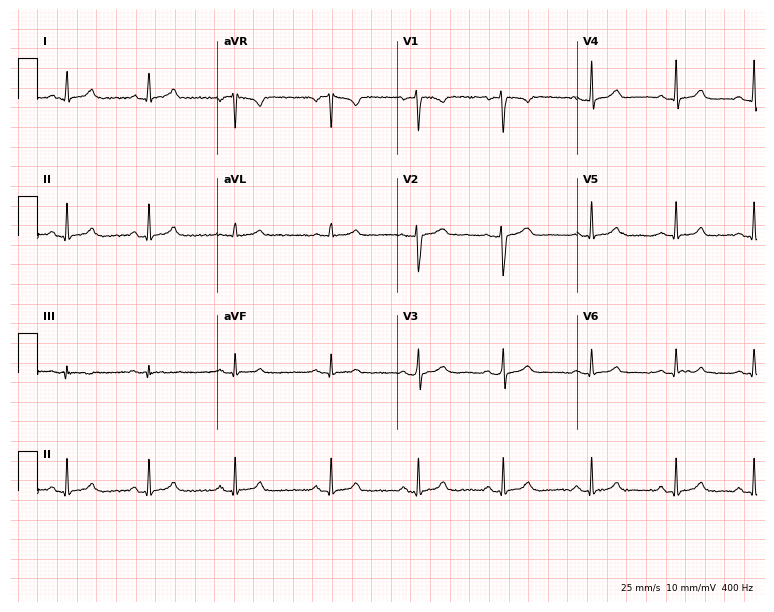
Standard 12-lead ECG recorded from a 30-year-old female patient. Read as a normal ECG.